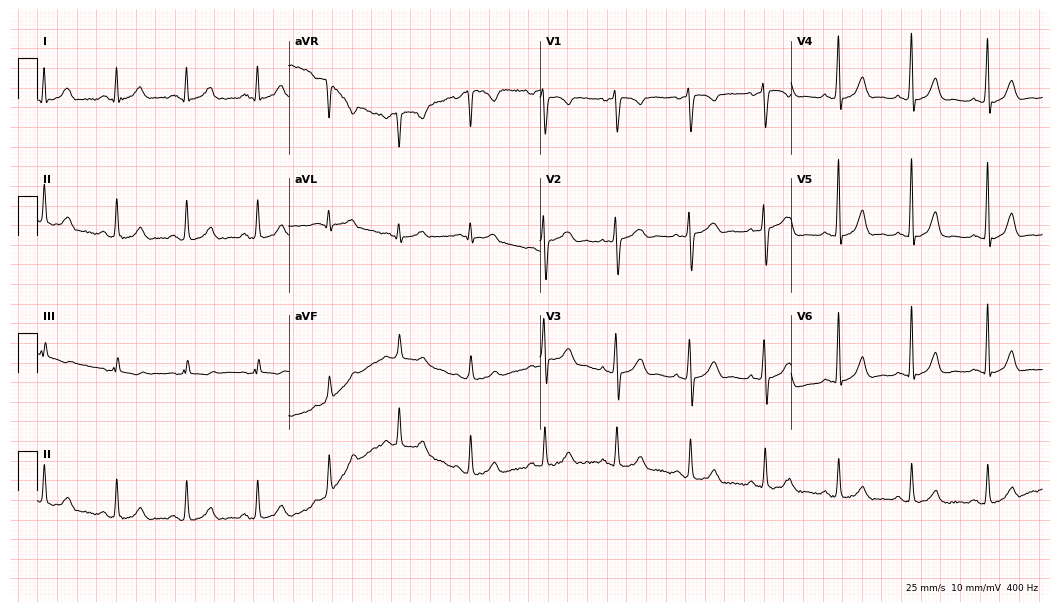
ECG (10.2-second recording at 400 Hz) — a 33-year-old female. Labelled as a normal ECG.